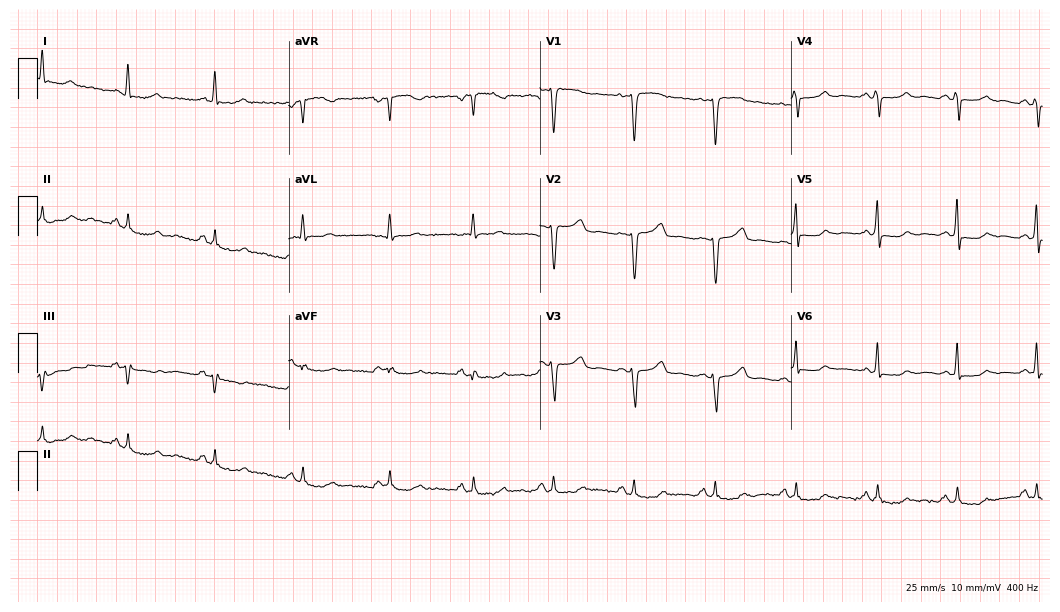
ECG (10.2-second recording at 400 Hz) — a 47-year-old female. Screened for six findings — first-degree AV block, right bundle branch block, left bundle branch block, sinus bradycardia, atrial fibrillation, sinus tachycardia — none is recorded.